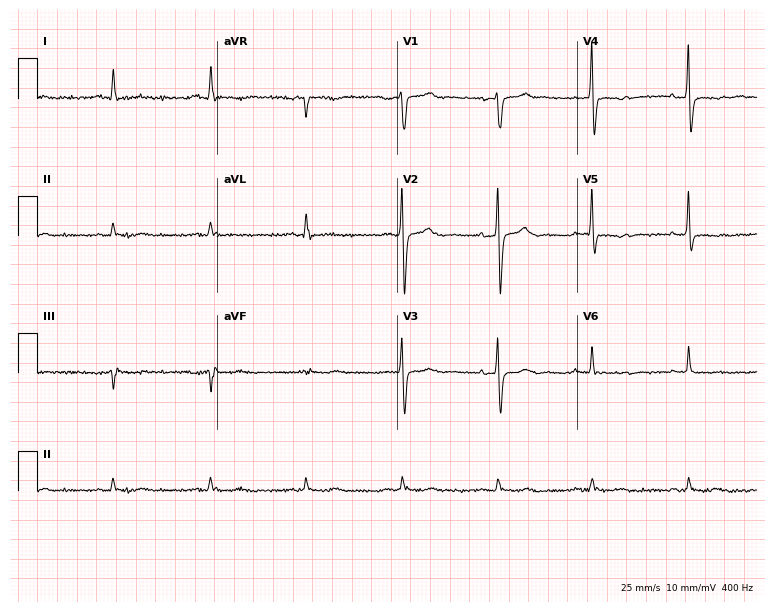
Standard 12-lead ECG recorded from a 64-year-old male patient (7.3-second recording at 400 Hz). None of these six findings is recorded: first-degree AV block, right bundle branch block, left bundle branch block, sinus bradycardia, atrial fibrillation, sinus tachycardia. Other findings, if any, are not listed.